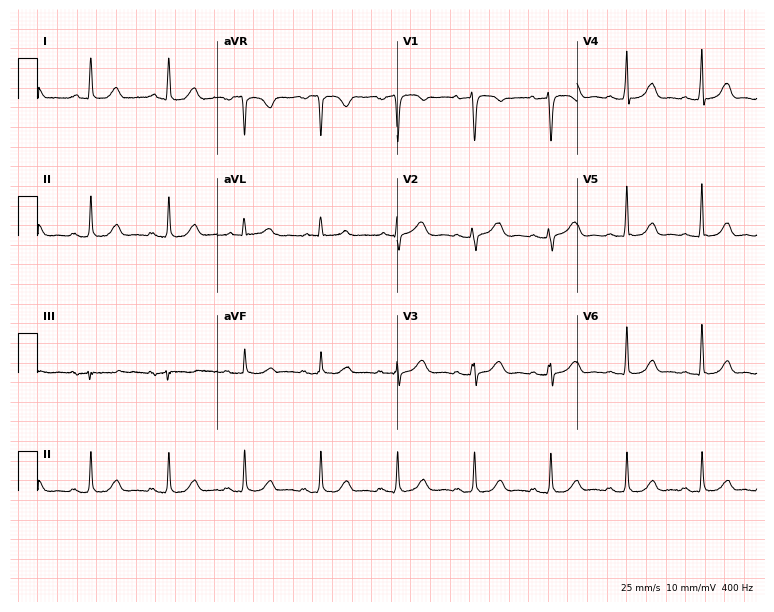
ECG (7.3-second recording at 400 Hz) — a woman, 56 years old. Labelled as a normal ECG.